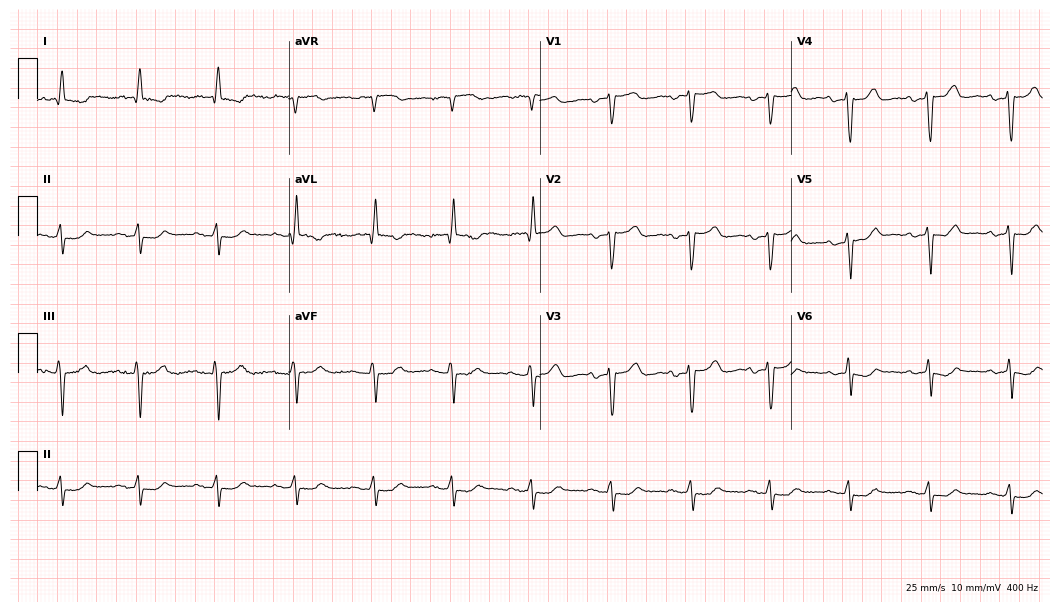
12-lead ECG from a female, 84 years old (10.2-second recording at 400 Hz). No first-degree AV block, right bundle branch block, left bundle branch block, sinus bradycardia, atrial fibrillation or sinus tachycardia recorded for this tracing. Findings outside these six are not listed.